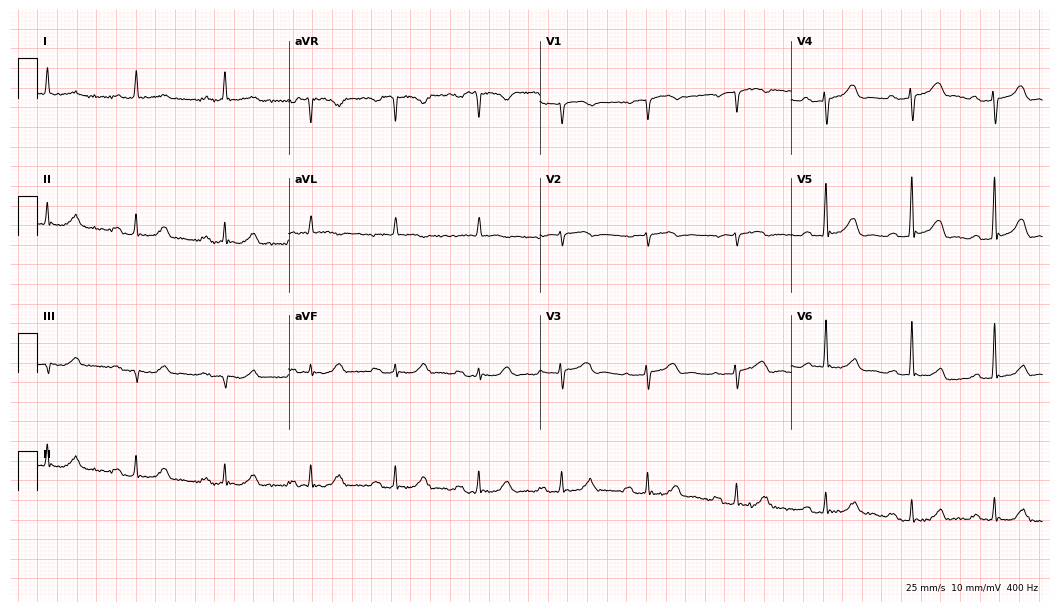
ECG — a 76-year-old female. Findings include first-degree AV block.